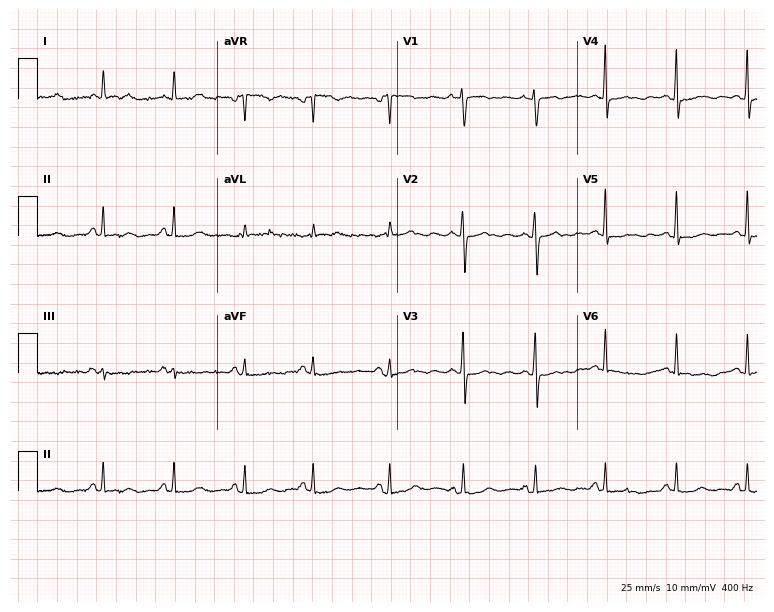
ECG — a woman, 41 years old. Screened for six findings — first-degree AV block, right bundle branch block, left bundle branch block, sinus bradycardia, atrial fibrillation, sinus tachycardia — none is recorded. Findings outside these six are not listed.